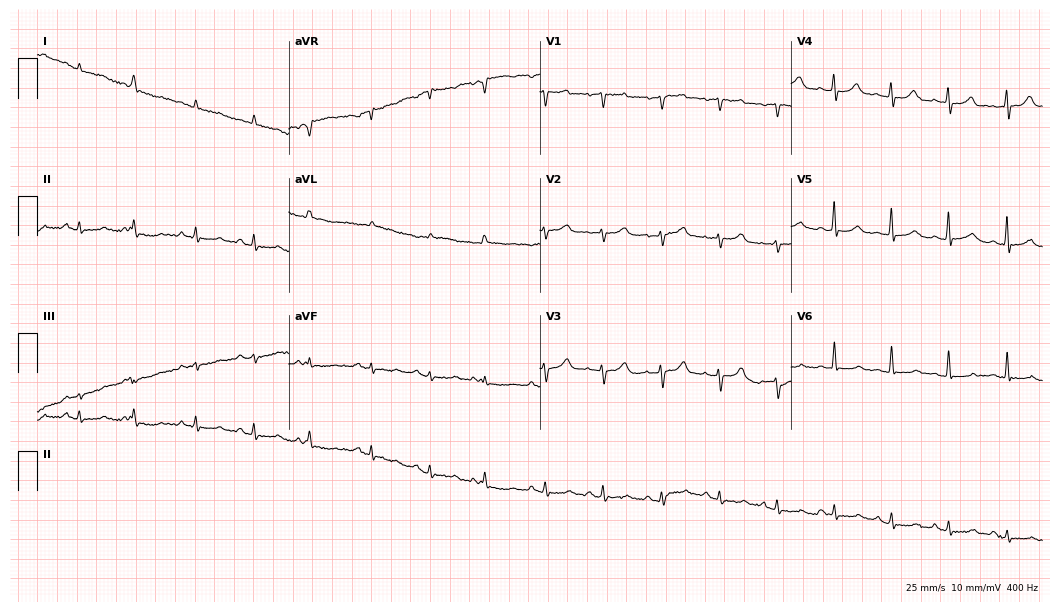
Electrocardiogram, a male, 84 years old. Of the six screened findings (first-degree AV block, right bundle branch block, left bundle branch block, sinus bradycardia, atrial fibrillation, sinus tachycardia), none is recorded. Only these six findings were labelled.